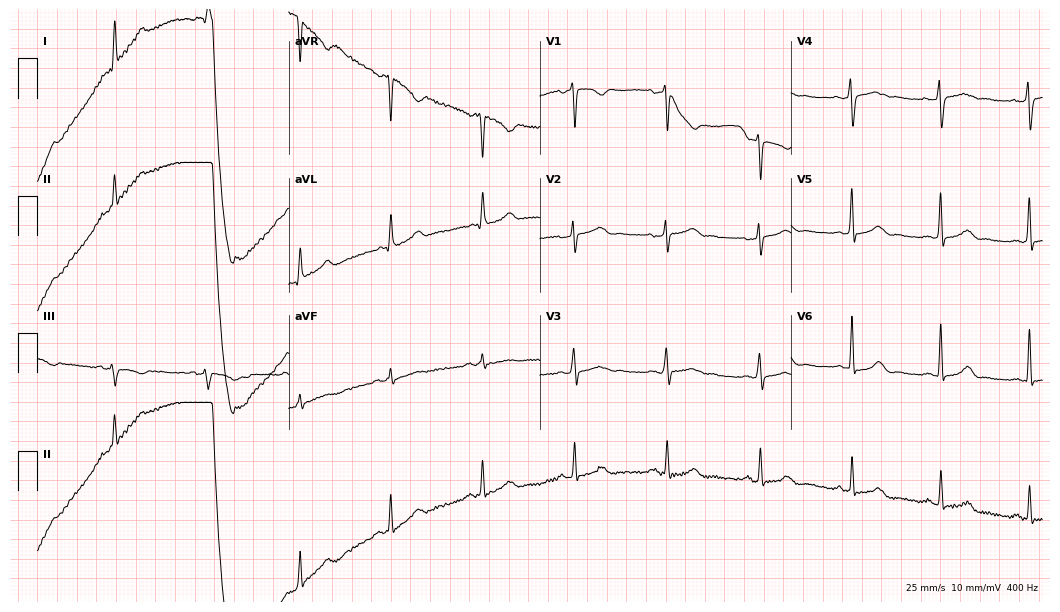
Standard 12-lead ECG recorded from a 31-year-old female (10.2-second recording at 400 Hz). Read as a normal ECG.